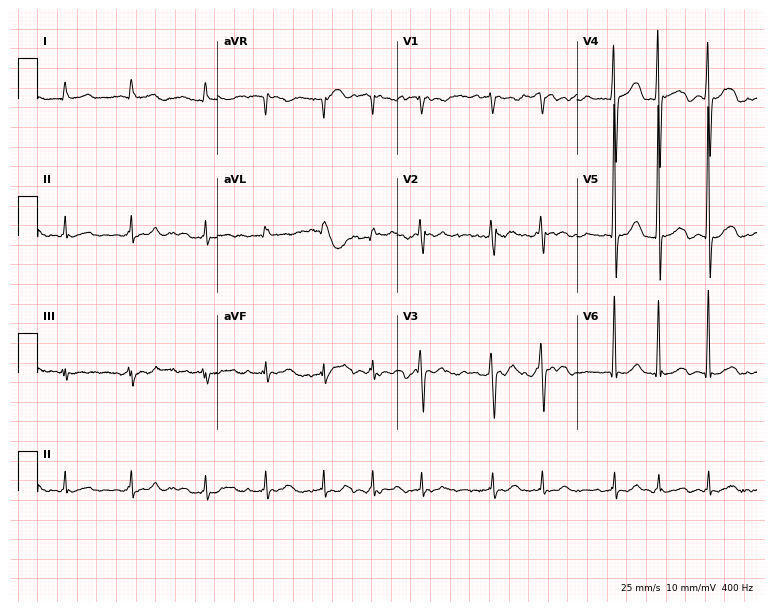
12-lead ECG from a woman, 85 years old. Findings include atrial fibrillation.